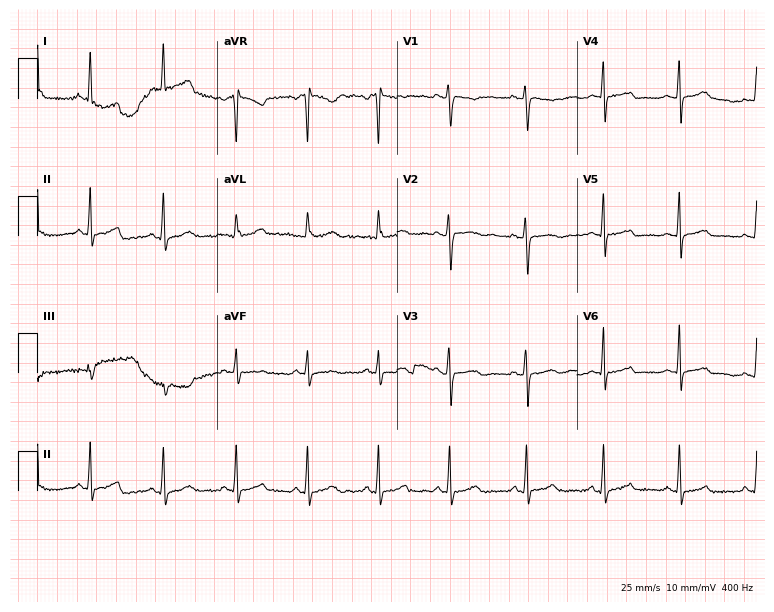
ECG — a 39-year-old woman. Screened for six findings — first-degree AV block, right bundle branch block (RBBB), left bundle branch block (LBBB), sinus bradycardia, atrial fibrillation (AF), sinus tachycardia — none is recorded. Other findings, if any, are not listed.